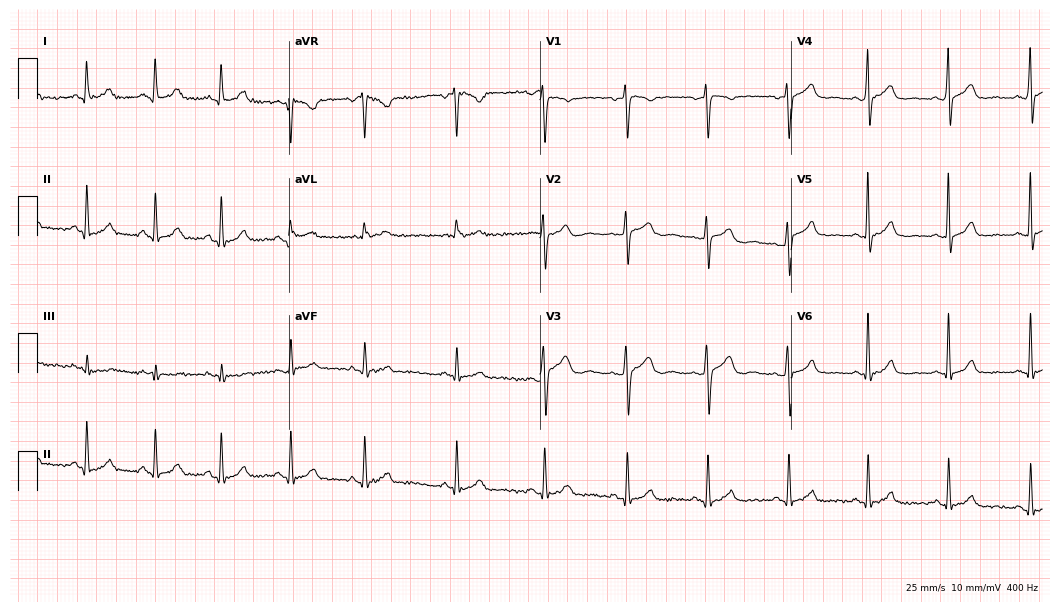
Electrocardiogram (10.2-second recording at 400 Hz), a female, 39 years old. Overall reading on record: normal ECG.